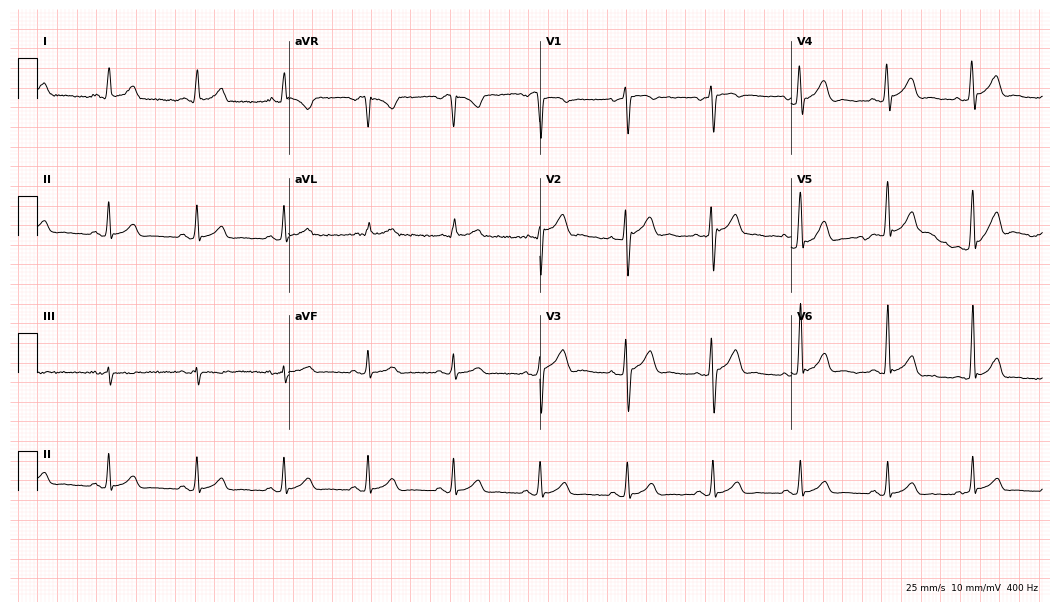
ECG — a 43-year-old male patient. Labelled as a normal ECG.